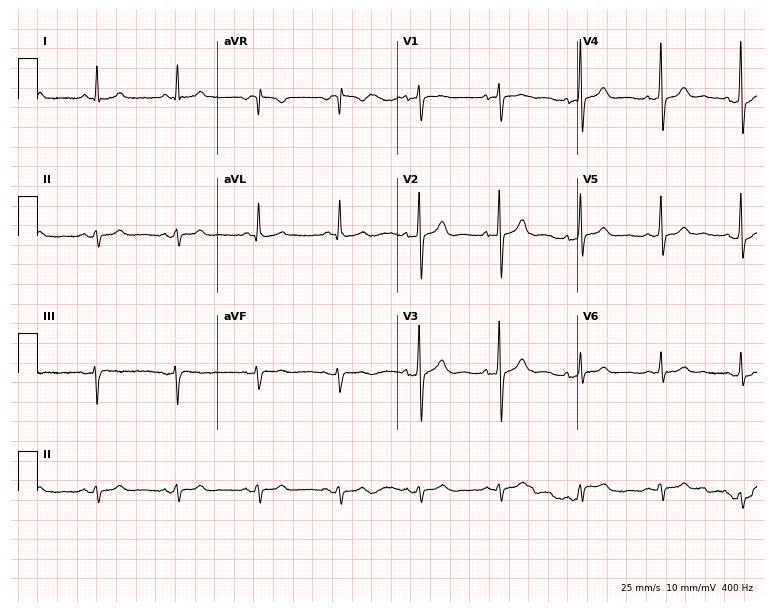
Electrocardiogram, a 60-year-old male. Of the six screened findings (first-degree AV block, right bundle branch block, left bundle branch block, sinus bradycardia, atrial fibrillation, sinus tachycardia), none is recorded.